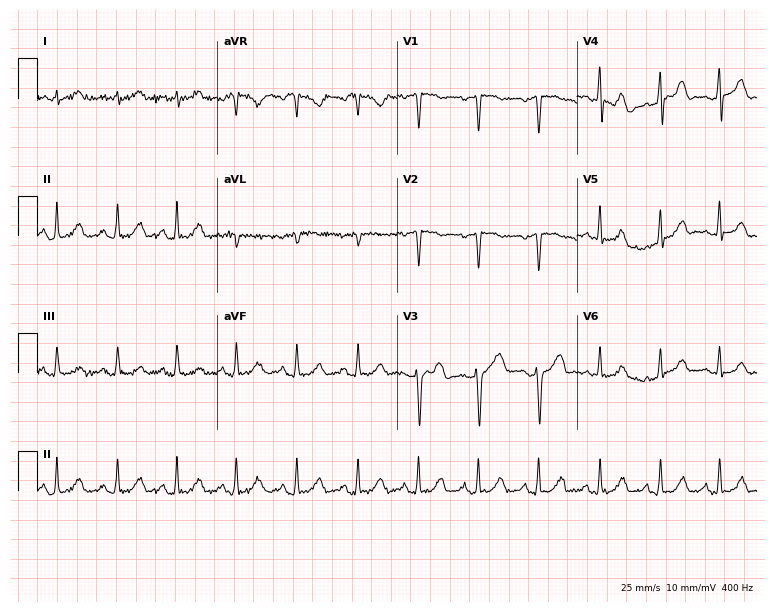
Resting 12-lead electrocardiogram (7.3-second recording at 400 Hz). Patient: a female, 39 years old. None of these six findings is recorded: first-degree AV block, right bundle branch block, left bundle branch block, sinus bradycardia, atrial fibrillation, sinus tachycardia. Only these six findings were labelled.